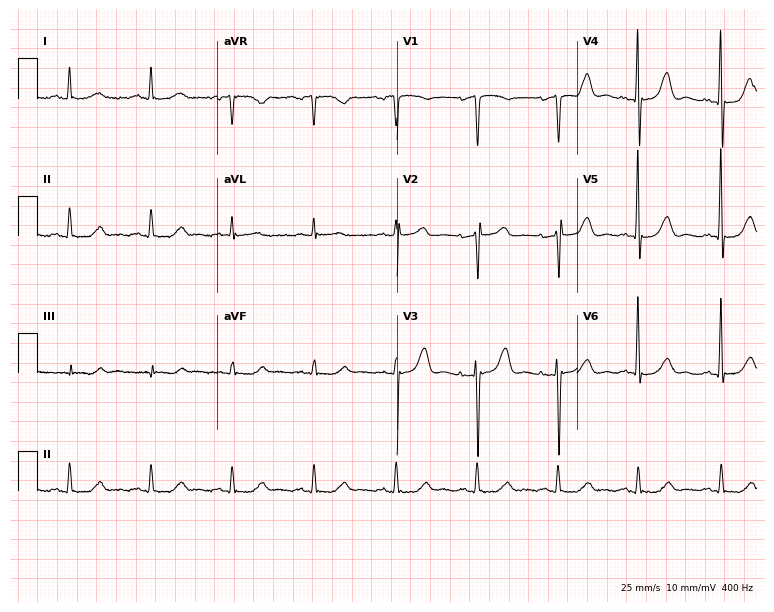
Resting 12-lead electrocardiogram (7.3-second recording at 400 Hz). Patient: a female, 80 years old. None of these six findings is recorded: first-degree AV block, right bundle branch block (RBBB), left bundle branch block (LBBB), sinus bradycardia, atrial fibrillation (AF), sinus tachycardia.